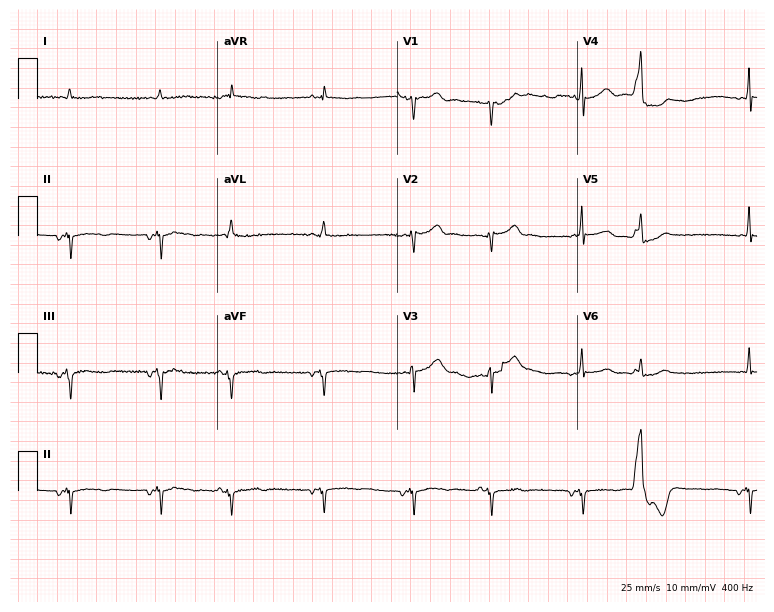
Electrocardiogram (7.3-second recording at 400 Hz), an 81-year-old male patient. Of the six screened findings (first-degree AV block, right bundle branch block (RBBB), left bundle branch block (LBBB), sinus bradycardia, atrial fibrillation (AF), sinus tachycardia), none is recorded. Findings outside these six are not listed.